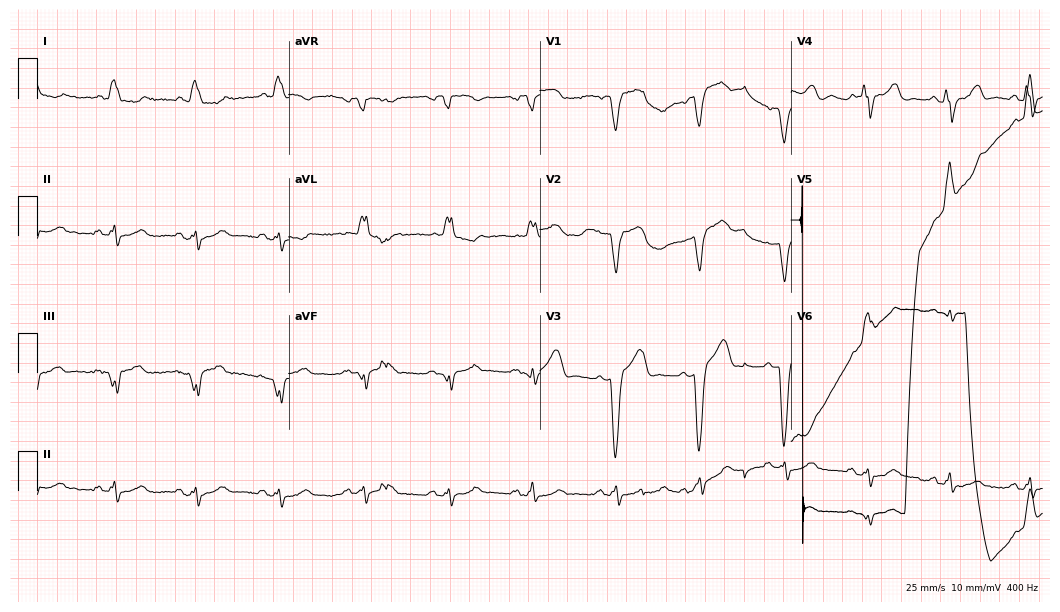
12-lead ECG from a 76-year-old female. Findings include left bundle branch block (LBBB), sinus tachycardia (a sinus rate of 100 beats per minute or more).